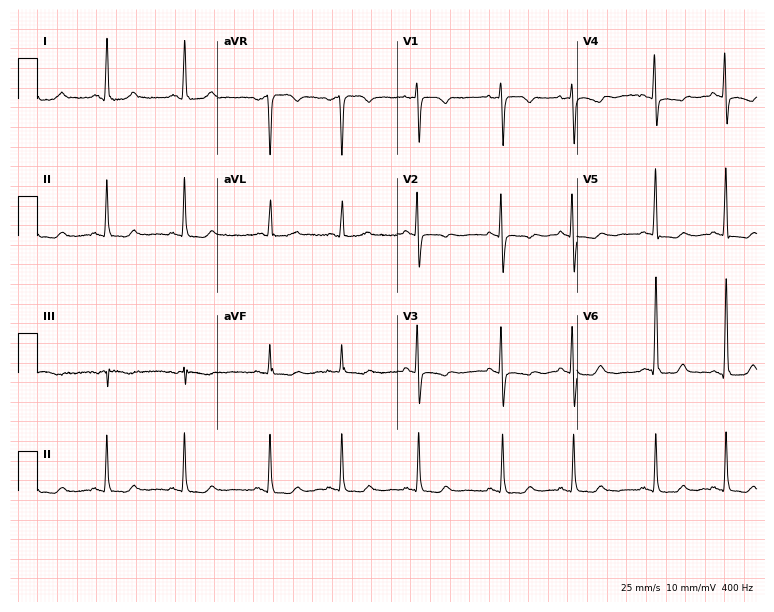
12-lead ECG from a female patient, 64 years old (7.3-second recording at 400 Hz). No first-degree AV block, right bundle branch block (RBBB), left bundle branch block (LBBB), sinus bradycardia, atrial fibrillation (AF) or sinus tachycardia recorded for this tracing.